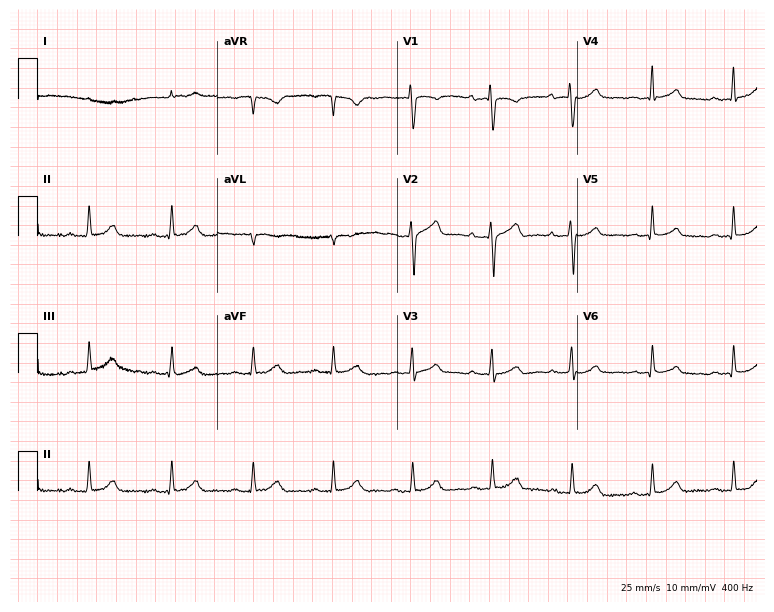
12-lead ECG (7.3-second recording at 400 Hz) from a female, 40 years old. Labelled as a normal ECG.